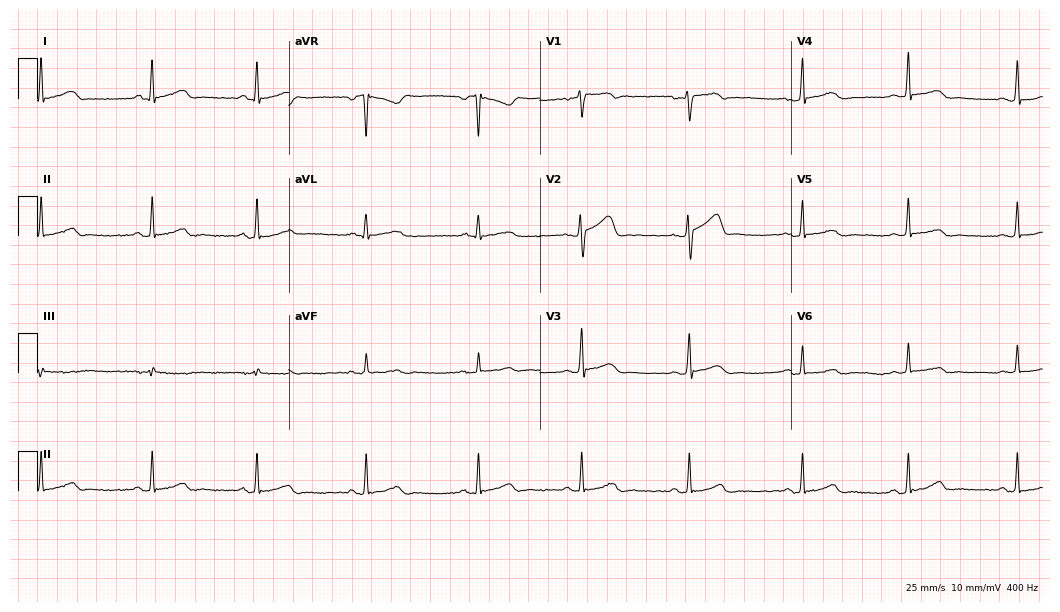
ECG (10.2-second recording at 400 Hz) — a 37-year-old female. Labelled as a normal ECG.